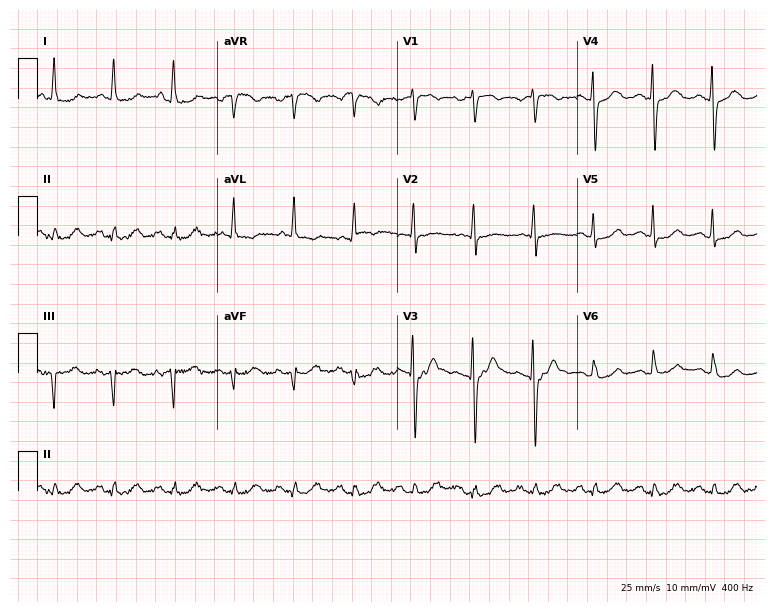
Standard 12-lead ECG recorded from a 68-year-old woman (7.3-second recording at 400 Hz). None of these six findings is recorded: first-degree AV block, right bundle branch block, left bundle branch block, sinus bradycardia, atrial fibrillation, sinus tachycardia. Findings outside these six are not listed.